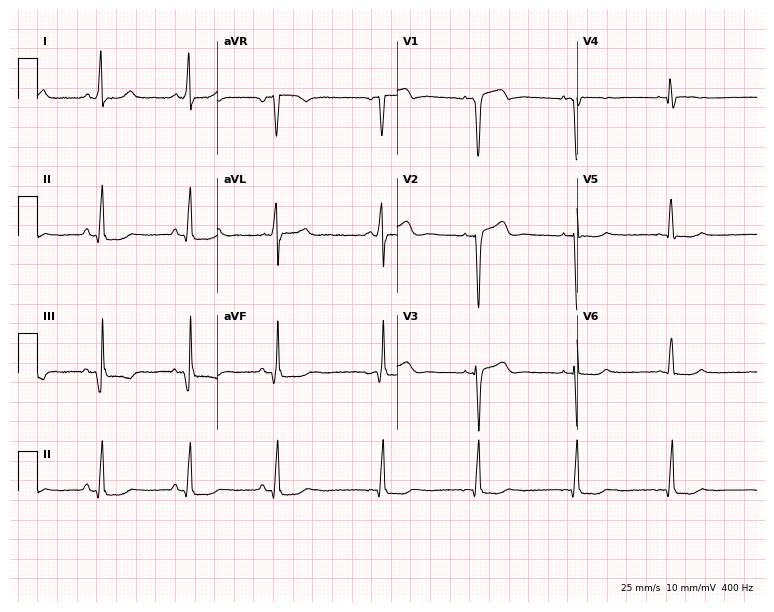
Resting 12-lead electrocardiogram. Patient: a 43-year-old female. None of these six findings is recorded: first-degree AV block, right bundle branch block, left bundle branch block, sinus bradycardia, atrial fibrillation, sinus tachycardia. Findings outside these six are not listed.